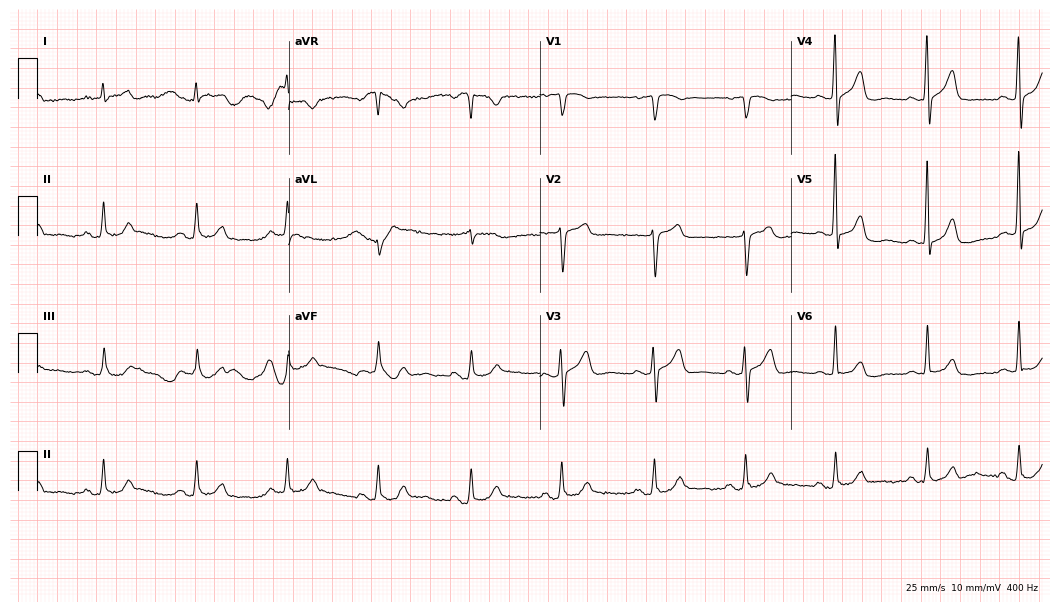
Standard 12-lead ECG recorded from a 60-year-old male (10.2-second recording at 400 Hz). Read as a normal ECG.